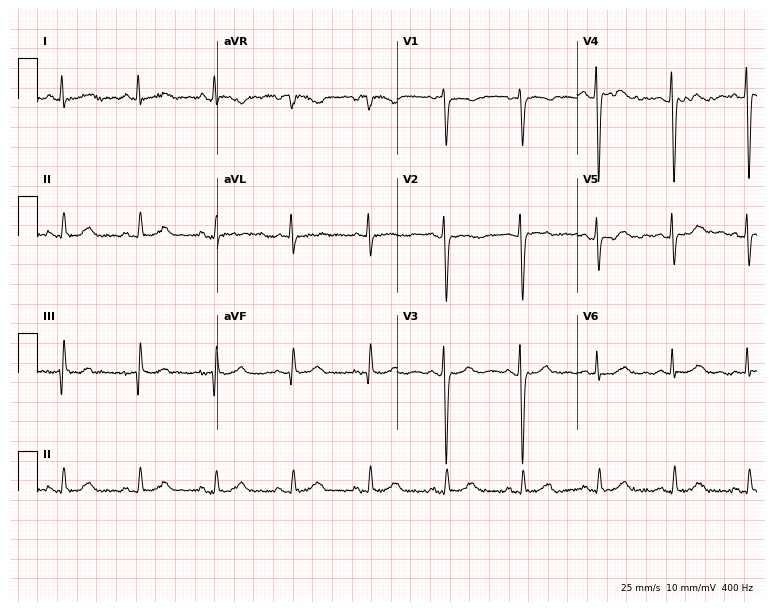
Standard 12-lead ECG recorded from a 65-year-old woman (7.3-second recording at 400 Hz). None of these six findings is recorded: first-degree AV block, right bundle branch block, left bundle branch block, sinus bradycardia, atrial fibrillation, sinus tachycardia.